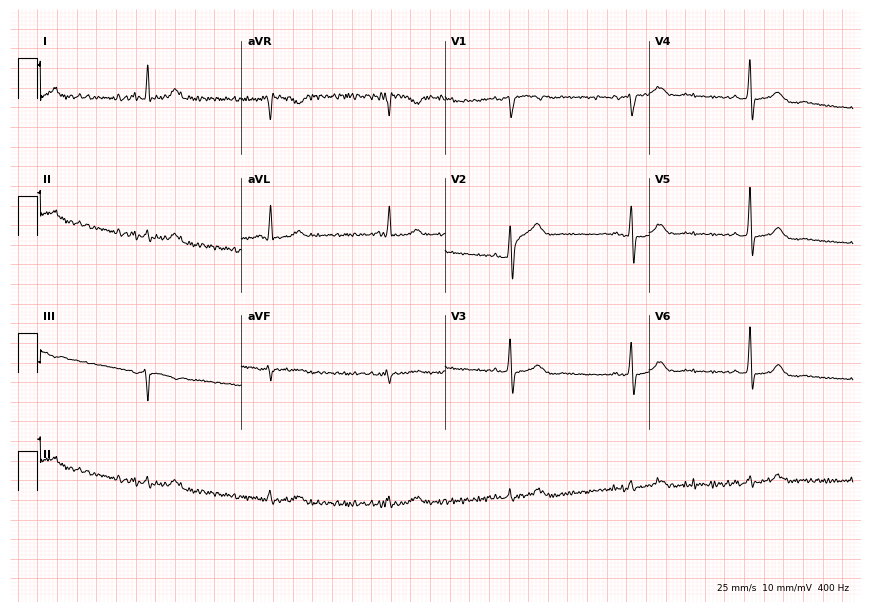
Electrocardiogram, a female, 60 years old. Overall reading on record: normal ECG.